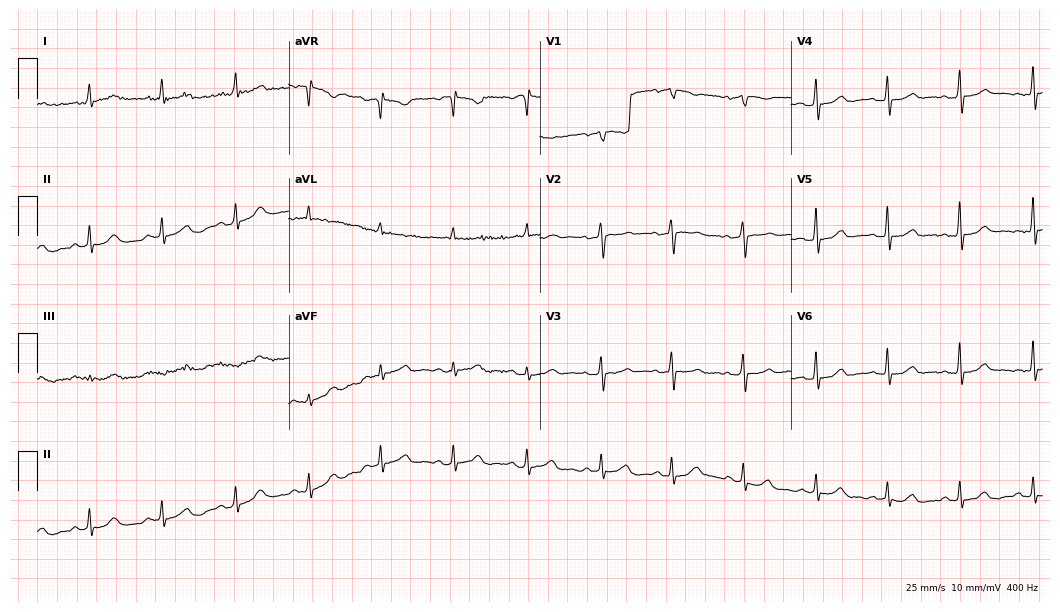
Electrocardiogram (10.2-second recording at 400 Hz), a 67-year-old female. Overall reading on record: normal ECG.